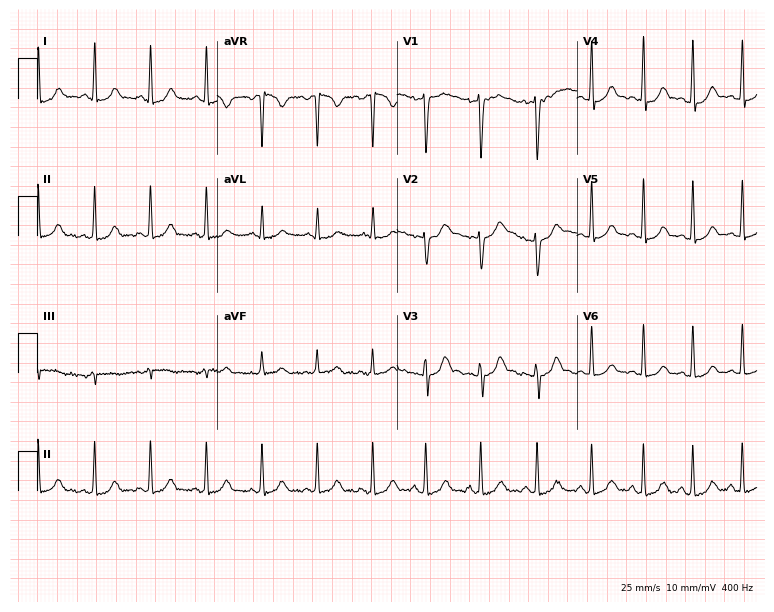
Standard 12-lead ECG recorded from a 25-year-old female patient. None of these six findings is recorded: first-degree AV block, right bundle branch block, left bundle branch block, sinus bradycardia, atrial fibrillation, sinus tachycardia.